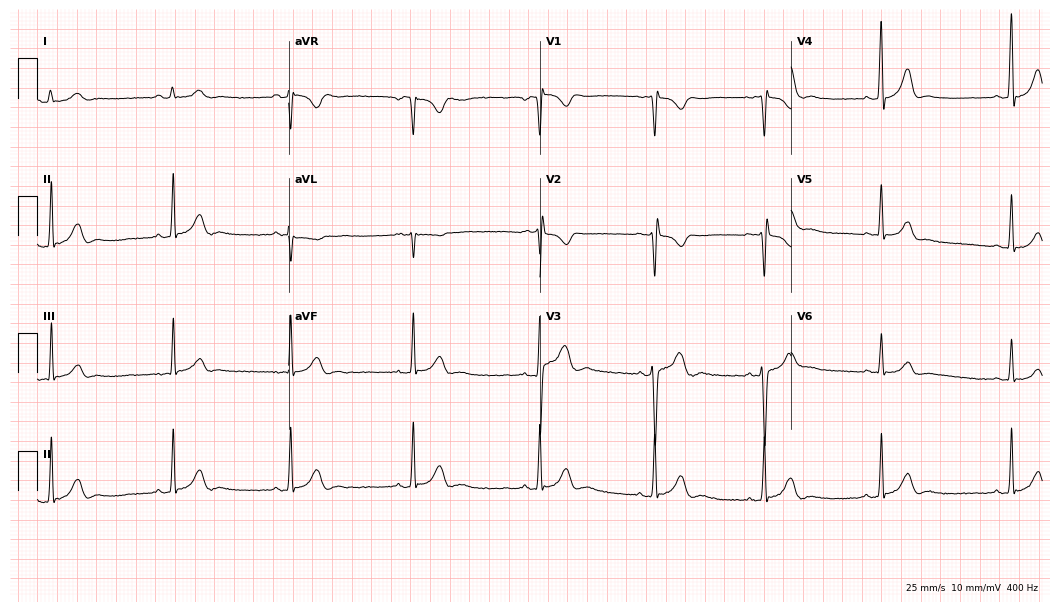
Resting 12-lead electrocardiogram (10.2-second recording at 400 Hz). Patient: a man, 20 years old. The tracing shows sinus bradycardia (a sinus rate of 50 beats per minute or less).